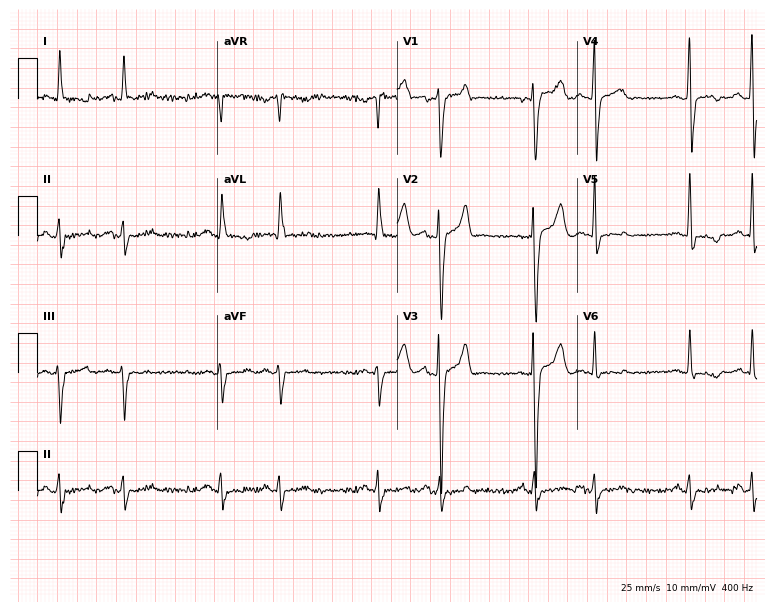
ECG — a 66-year-old man. Screened for six findings — first-degree AV block, right bundle branch block, left bundle branch block, sinus bradycardia, atrial fibrillation, sinus tachycardia — none is recorded. Findings outside these six are not listed.